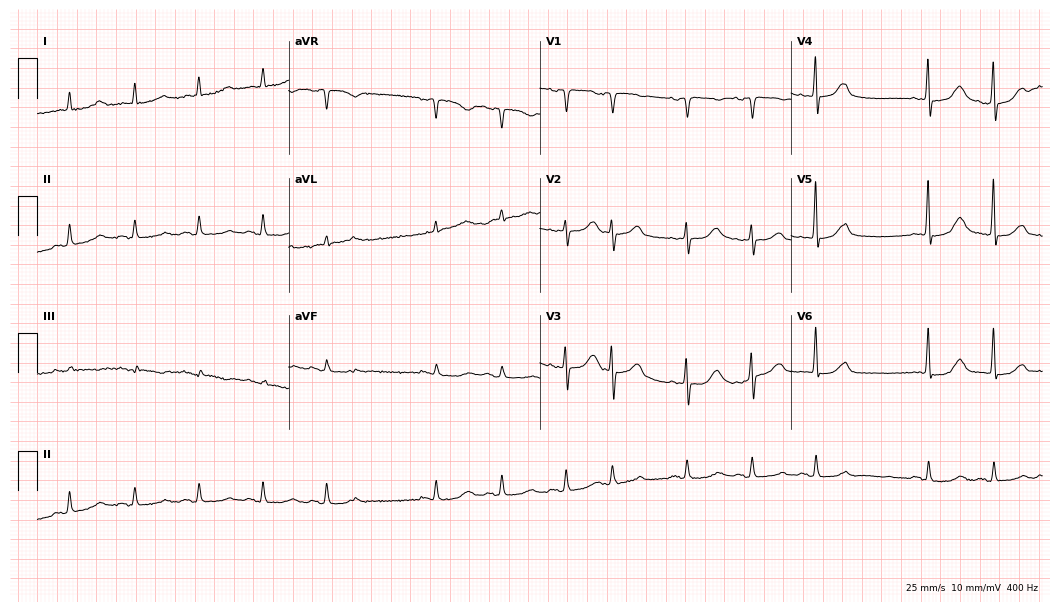
Electrocardiogram, an 84-year-old male. Of the six screened findings (first-degree AV block, right bundle branch block, left bundle branch block, sinus bradycardia, atrial fibrillation, sinus tachycardia), none is recorded.